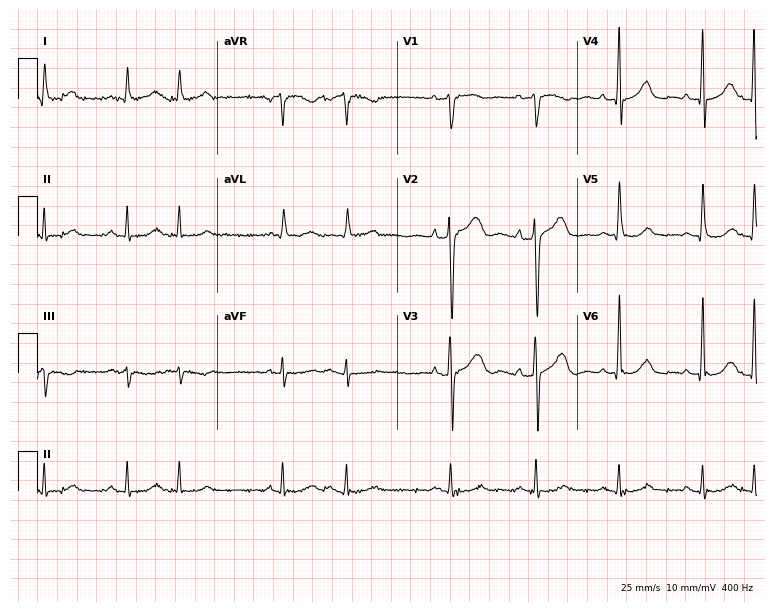
12-lead ECG (7.3-second recording at 400 Hz) from a male, 76 years old. Screened for six findings — first-degree AV block, right bundle branch block (RBBB), left bundle branch block (LBBB), sinus bradycardia, atrial fibrillation (AF), sinus tachycardia — none is recorded. Other findings, if any, are not listed.